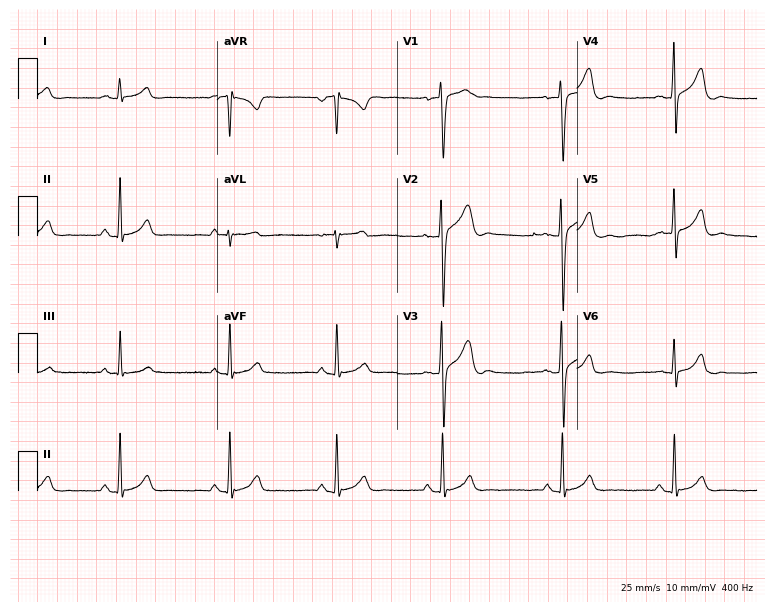
Standard 12-lead ECG recorded from a male, 20 years old. Read as a normal ECG.